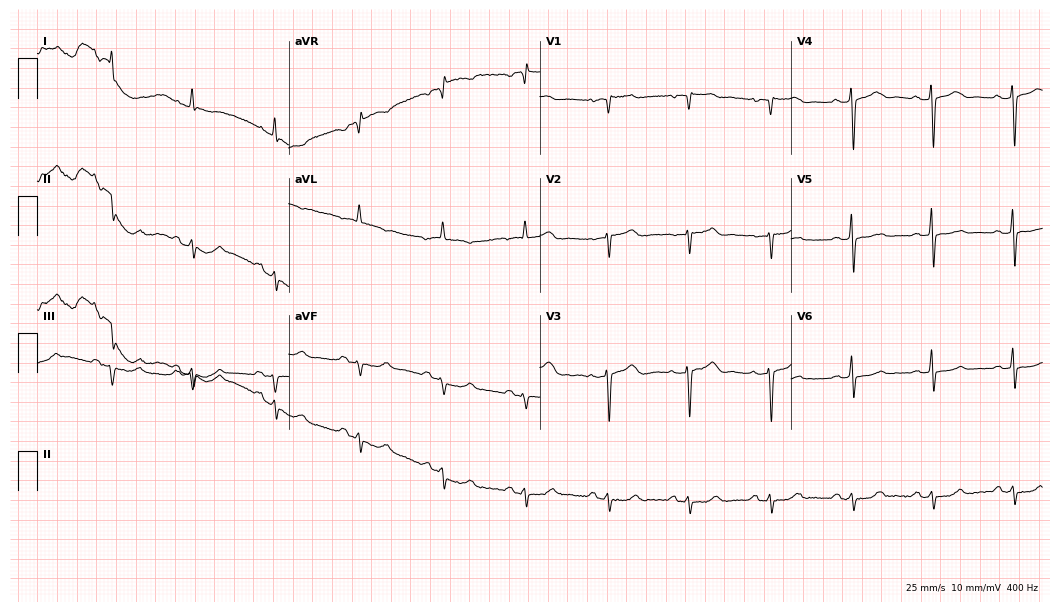
Electrocardiogram, a female, 81 years old. Of the six screened findings (first-degree AV block, right bundle branch block, left bundle branch block, sinus bradycardia, atrial fibrillation, sinus tachycardia), none is recorded.